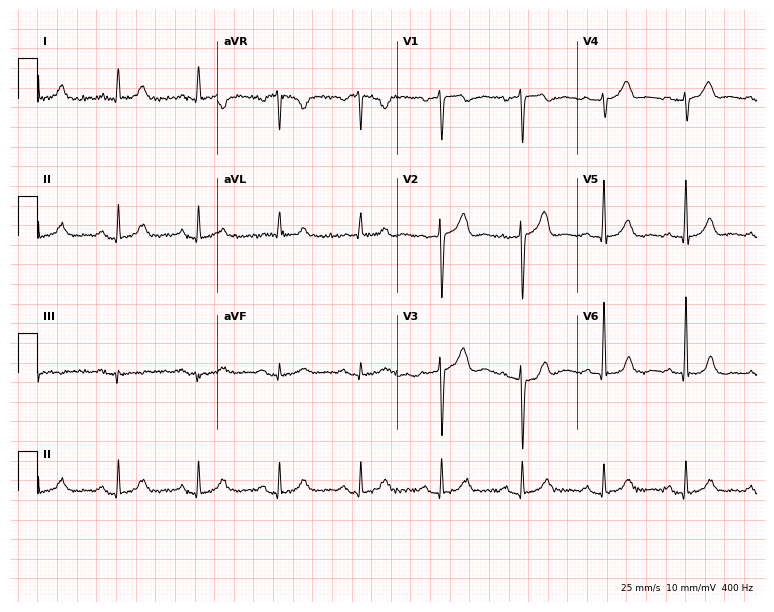
12-lead ECG from a male, 70 years old. Recorded interpretation: within normal limits.